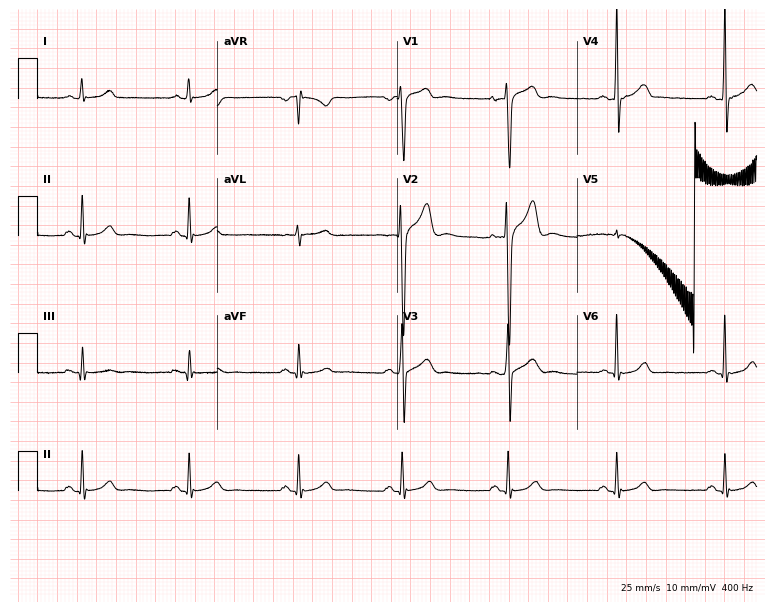
ECG (7.3-second recording at 400 Hz) — a male, 33 years old. Labelled as a normal ECG.